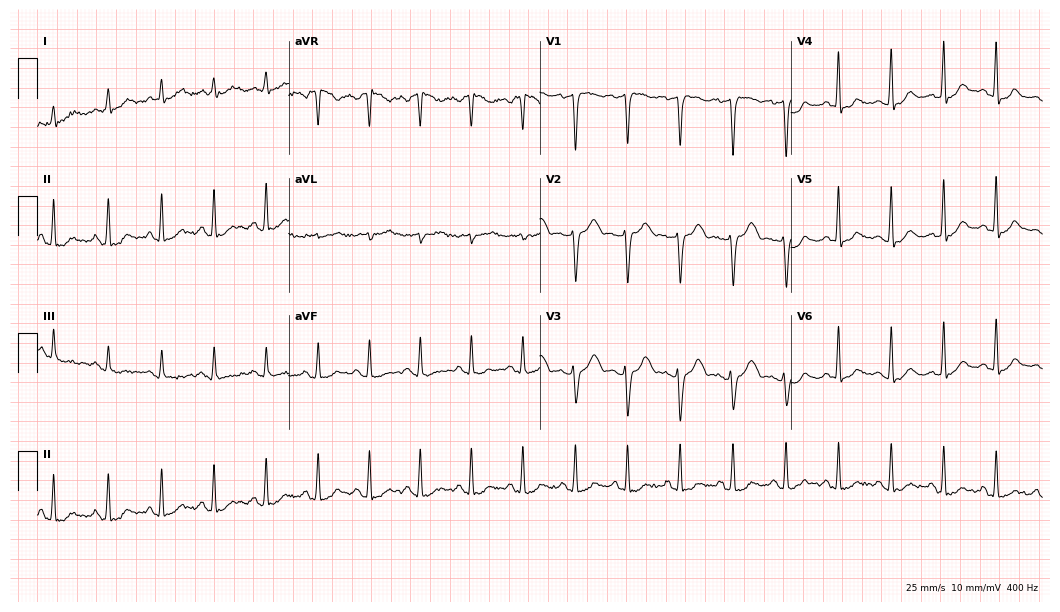
Electrocardiogram, a female patient, 32 years old. Interpretation includes sinus tachycardia (a sinus rate of 100 beats per minute or more).